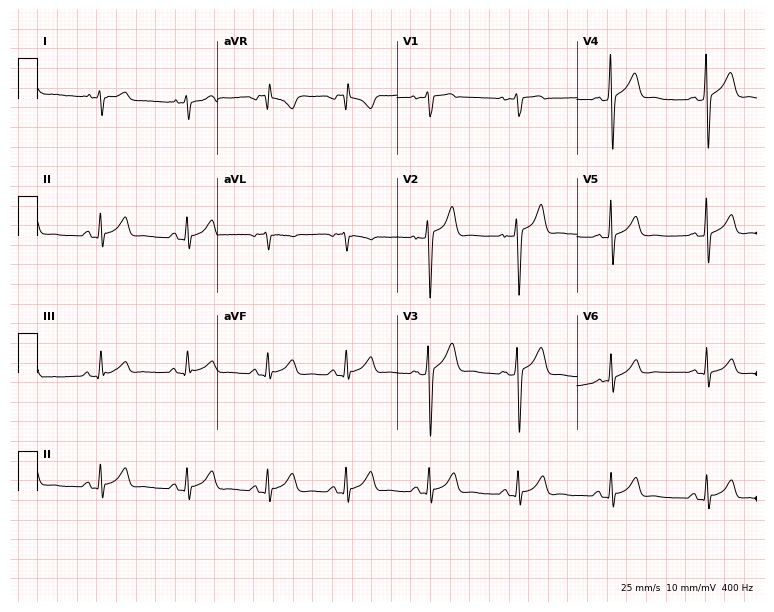
Electrocardiogram, a 27-year-old man. Of the six screened findings (first-degree AV block, right bundle branch block (RBBB), left bundle branch block (LBBB), sinus bradycardia, atrial fibrillation (AF), sinus tachycardia), none is recorded. Findings outside these six are not listed.